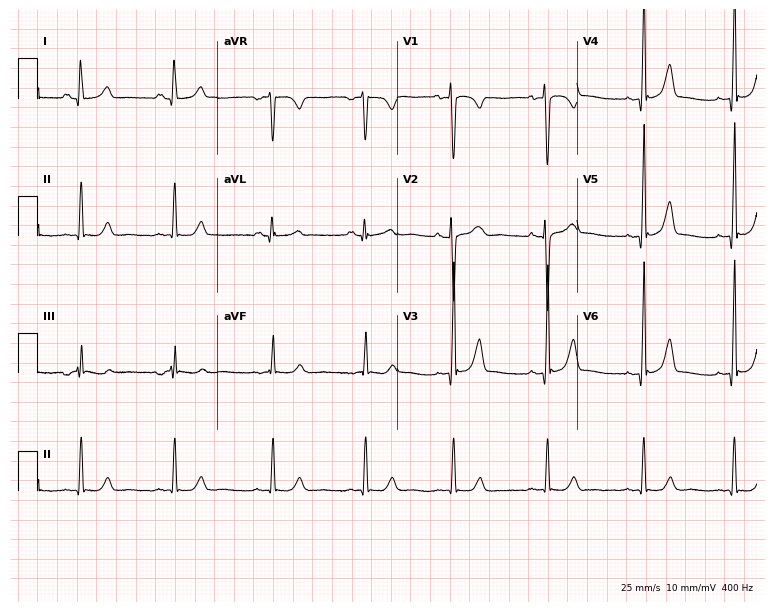
ECG (7.3-second recording at 400 Hz) — a 27-year-old female patient. Screened for six findings — first-degree AV block, right bundle branch block, left bundle branch block, sinus bradycardia, atrial fibrillation, sinus tachycardia — none is recorded.